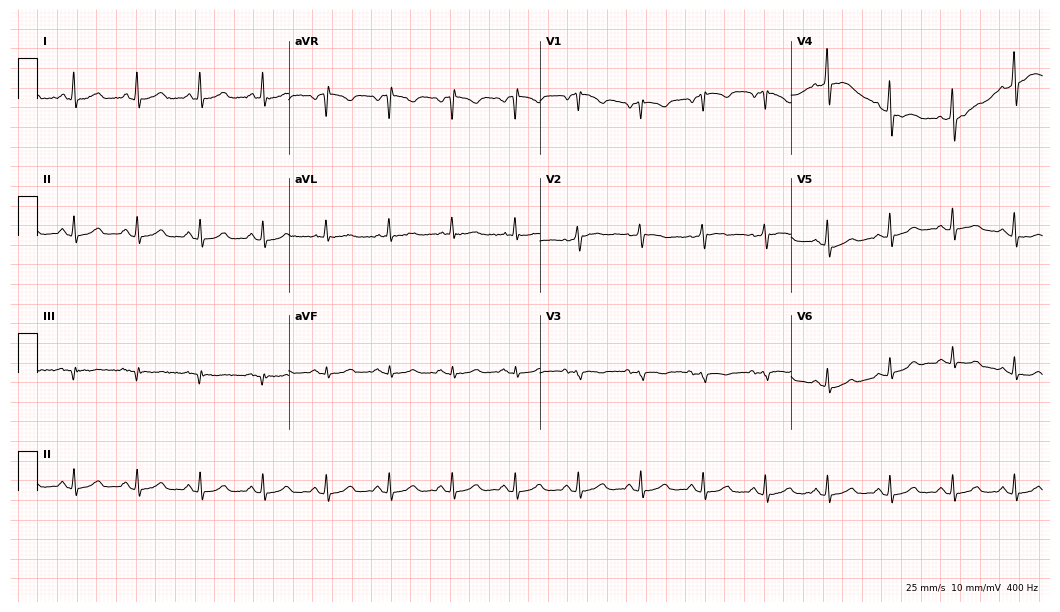
12-lead ECG (10.2-second recording at 400 Hz) from a 64-year-old female. Labelled as a normal ECG.